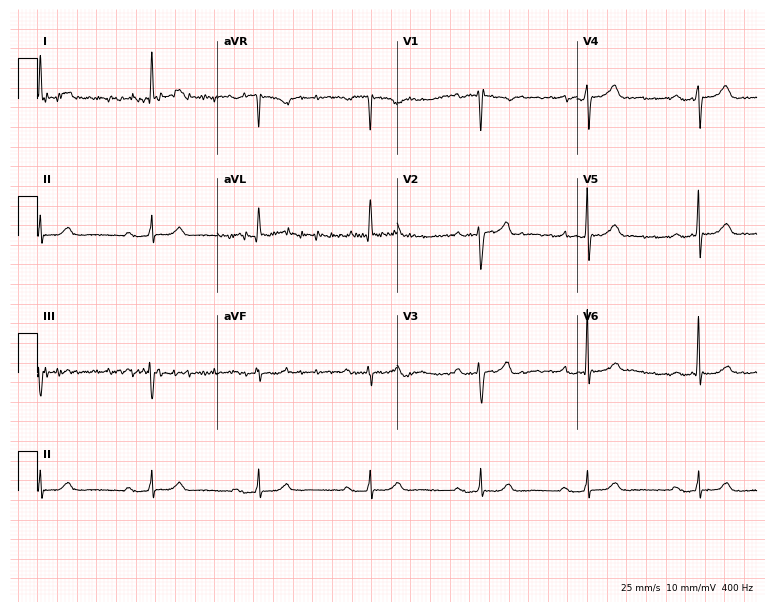
Resting 12-lead electrocardiogram. Patient: a male, 70 years old. The tracing shows first-degree AV block.